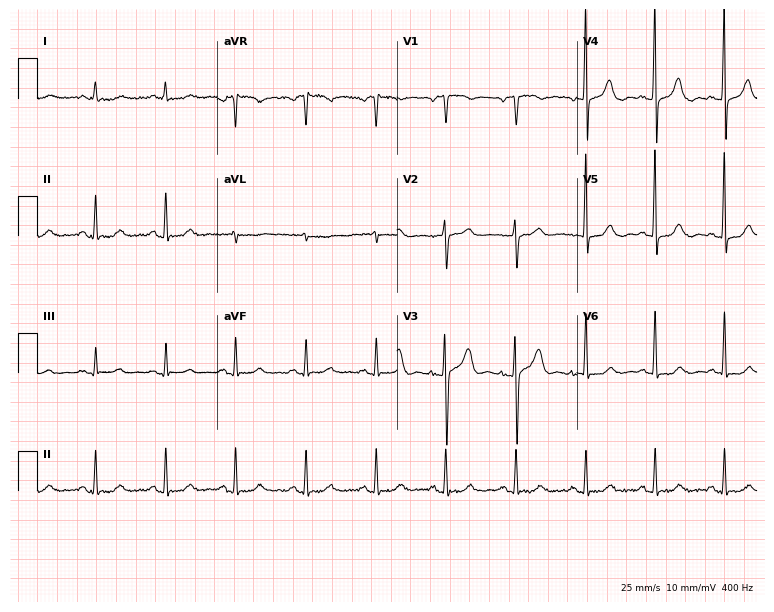
Standard 12-lead ECG recorded from a woman, 79 years old. Read as a normal ECG.